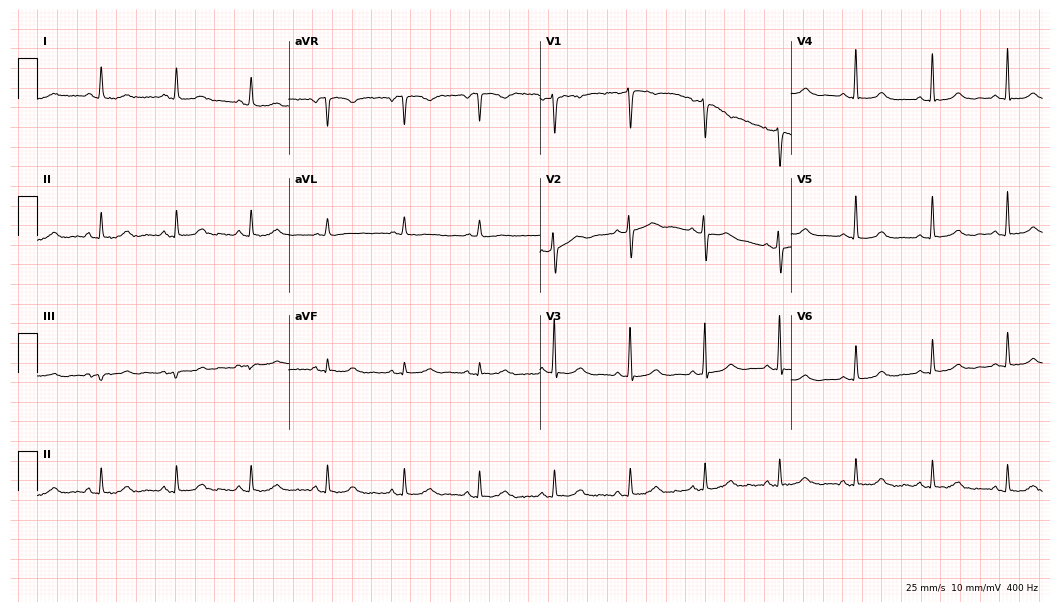
12-lead ECG (10.2-second recording at 400 Hz) from a female, 40 years old. Labelled as a normal ECG.